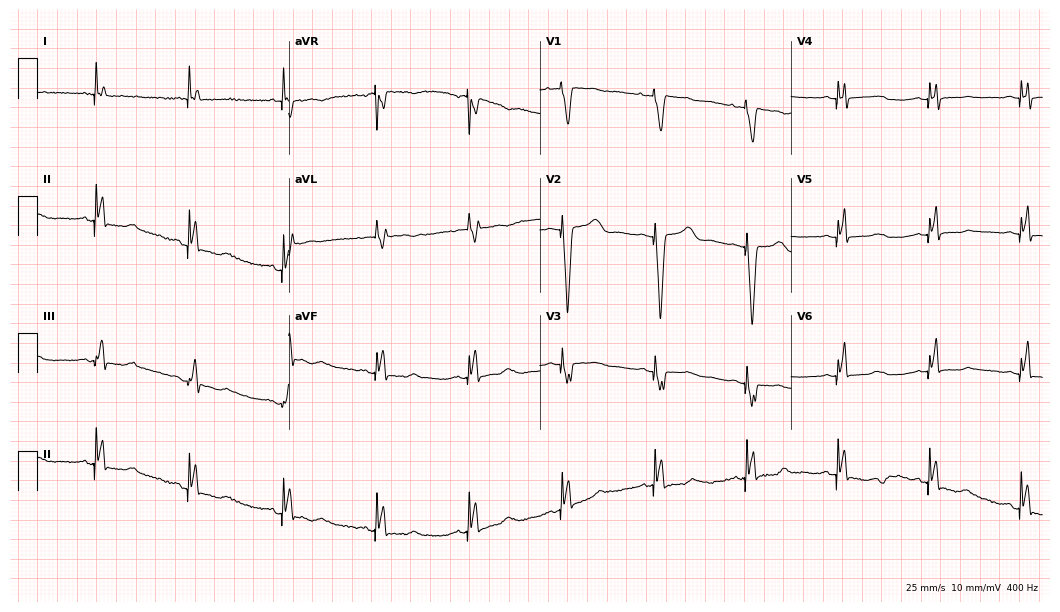
Standard 12-lead ECG recorded from a woman, 76 years old. None of these six findings is recorded: first-degree AV block, right bundle branch block, left bundle branch block, sinus bradycardia, atrial fibrillation, sinus tachycardia. Other findings, if any, are not listed.